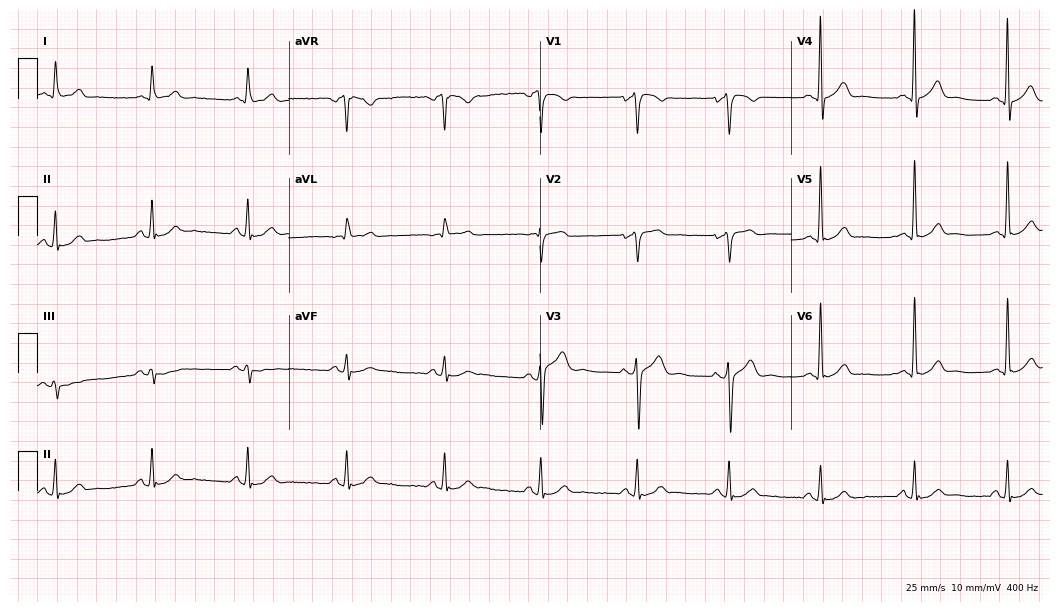
Electrocardiogram (10.2-second recording at 400 Hz), a male, 71 years old. Overall reading on record: normal ECG.